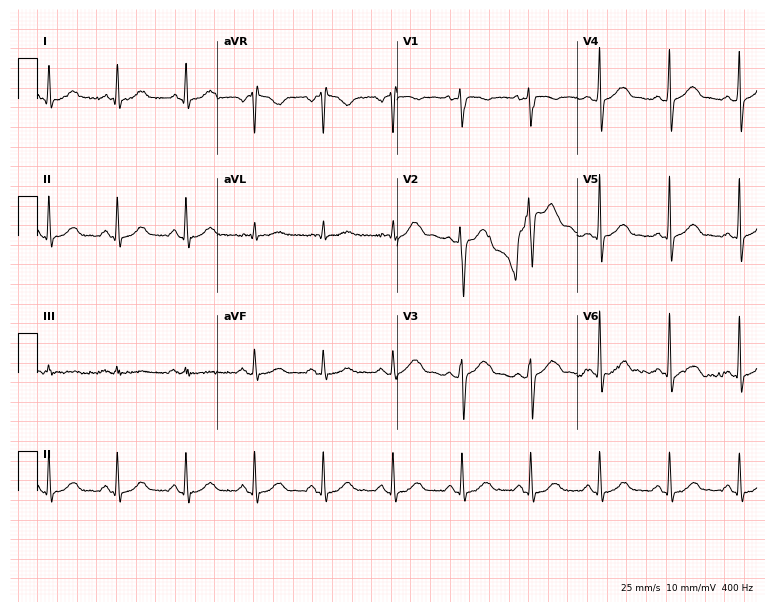
Resting 12-lead electrocardiogram. Patient: a male, 56 years old. Read as a normal ECG.